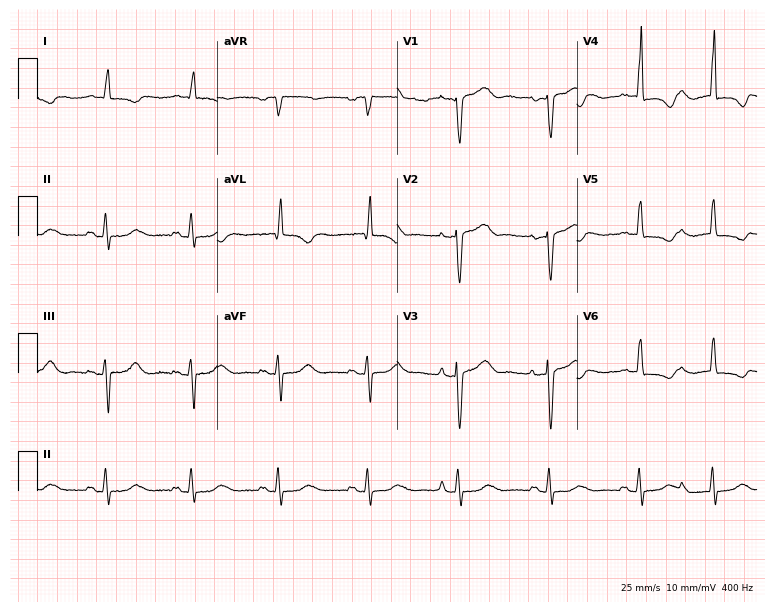
Standard 12-lead ECG recorded from an 82-year-old woman. None of these six findings is recorded: first-degree AV block, right bundle branch block (RBBB), left bundle branch block (LBBB), sinus bradycardia, atrial fibrillation (AF), sinus tachycardia.